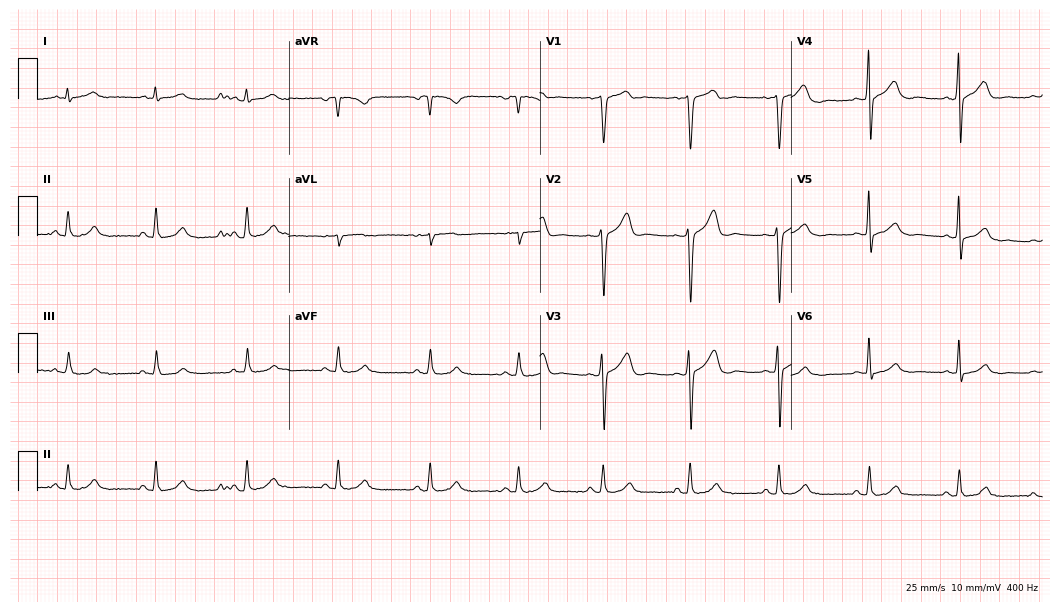
12-lead ECG from a 37-year-old man (10.2-second recording at 400 Hz). No first-degree AV block, right bundle branch block, left bundle branch block, sinus bradycardia, atrial fibrillation or sinus tachycardia recorded for this tracing. Only these six findings were labelled.